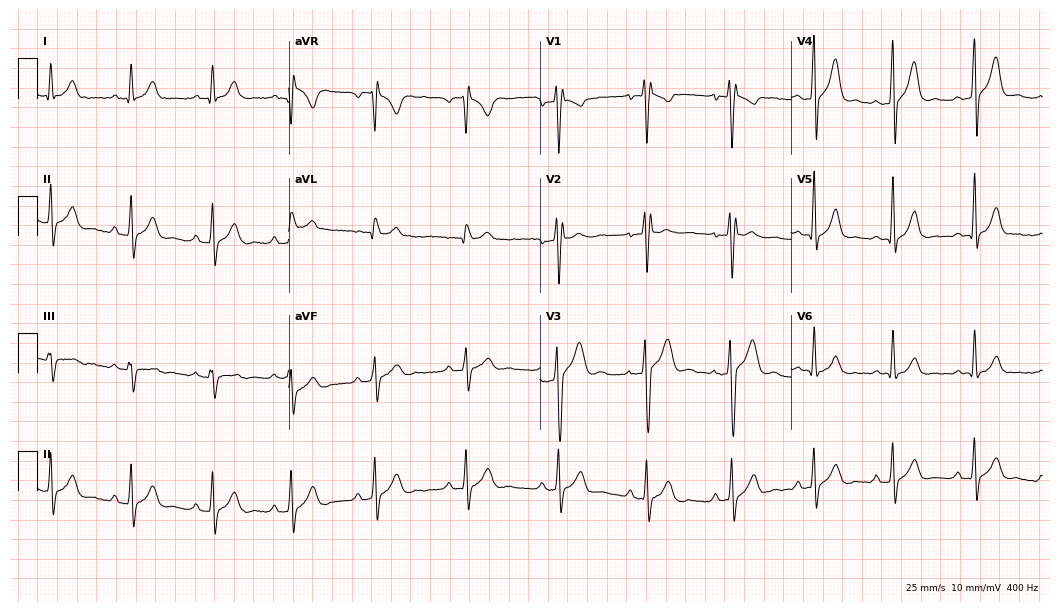
ECG — an 18-year-old man. Screened for six findings — first-degree AV block, right bundle branch block, left bundle branch block, sinus bradycardia, atrial fibrillation, sinus tachycardia — none is recorded.